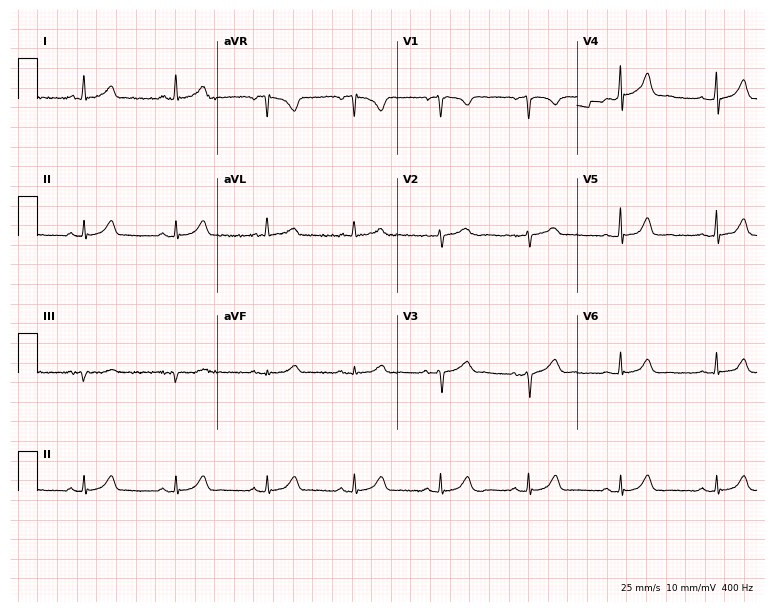
ECG (7.3-second recording at 400 Hz) — a female, 56 years old. Labelled as a normal ECG.